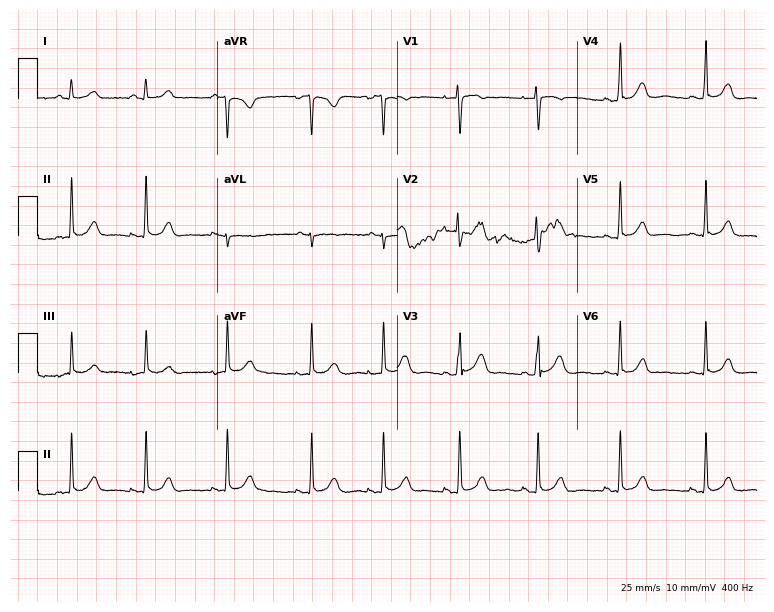
ECG (7.3-second recording at 400 Hz) — an 18-year-old female. Labelled as a normal ECG.